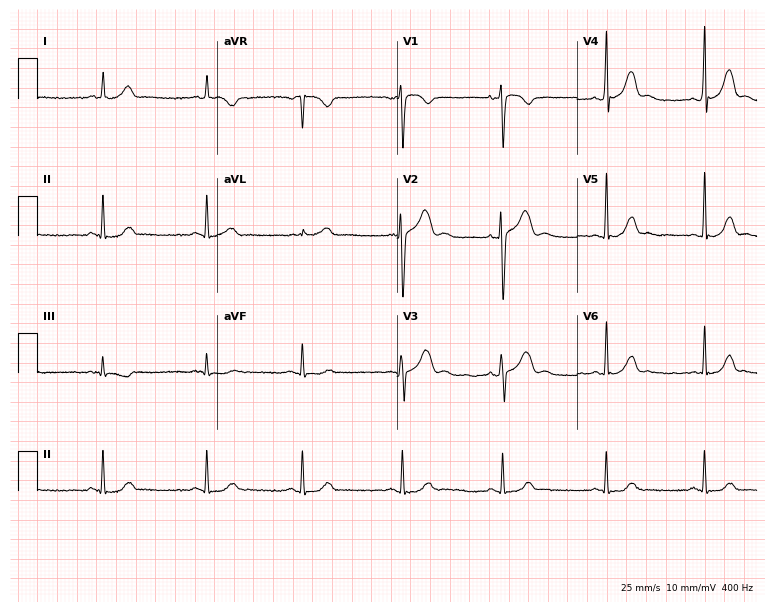
Electrocardiogram (7.3-second recording at 400 Hz), a male, 37 years old. Of the six screened findings (first-degree AV block, right bundle branch block, left bundle branch block, sinus bradycardia, atrial fibrillation, sinus tachycardia), none is recorded.